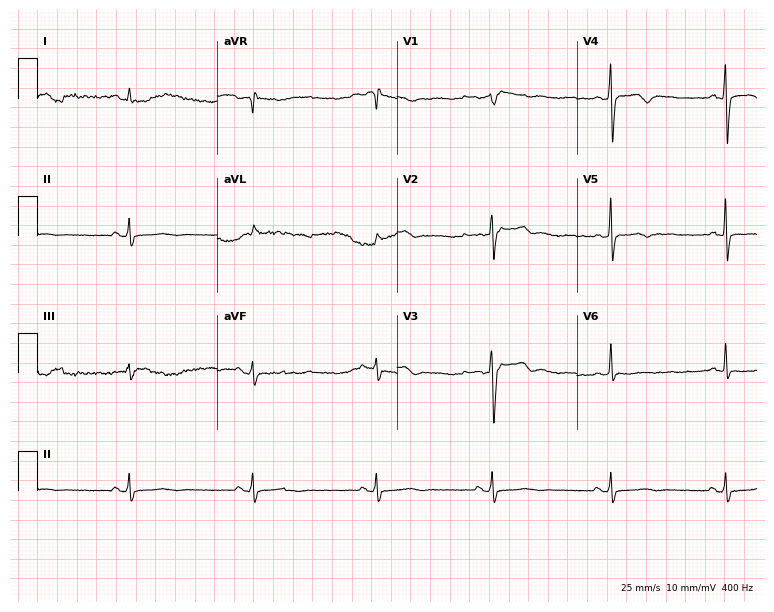
ECG (7.3-second recording at 400 Hz) — a female, 53 years old. Screened for six findings — first-degree AV block, right bundle branch block (RBBB), left bundle branch block (LBBB), sinus bradycardia, atrial fibrillation (AF), sinus tachycardia — none is recorded. Findings outside these six are not listed.